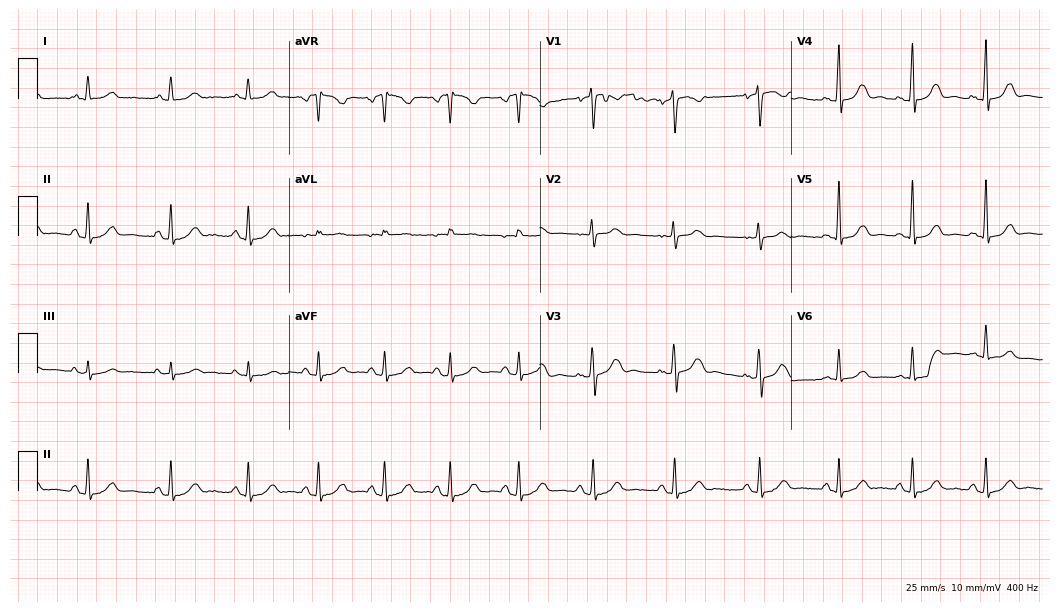
Resting 12-lead electrocardiogram (10.2-second recording at 400 Hz). Patient: a female, 38 years old. Read as a normal ECG.